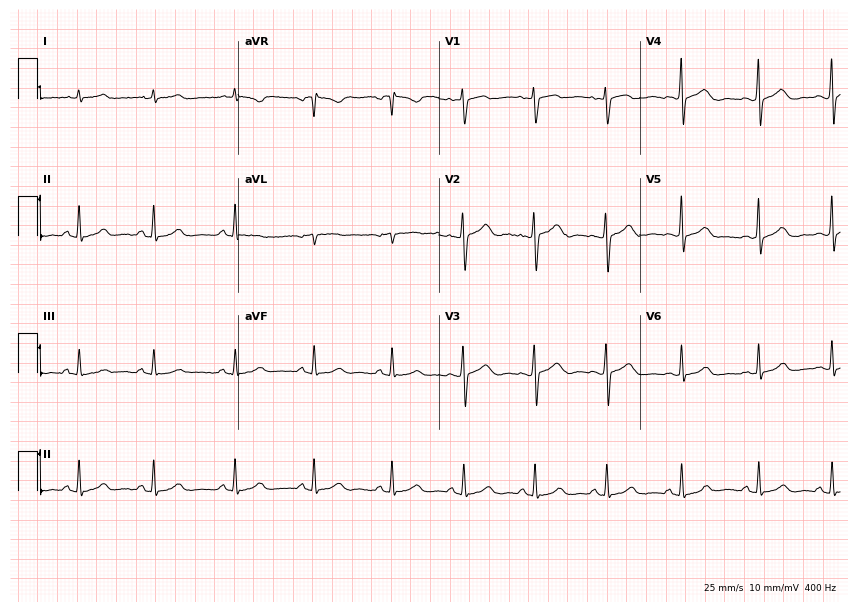
ECG (8.2-second recording at 400 Hz) — a female patient, 38 years old. Labelled as a normal ECG.